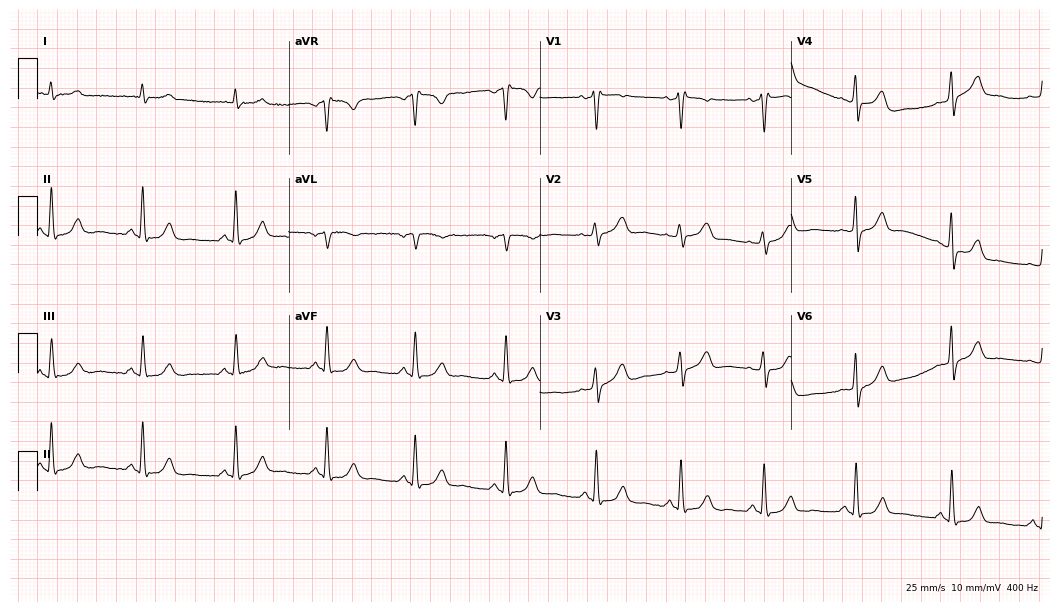
Electrocardiogram, a male, 53 years old. Of the six screened findings (first-degree AV block, right bundle branch block, left bundle branch block, sinus bradycardia, atrial fibrillation, sinus tachycardia), none is recorded.